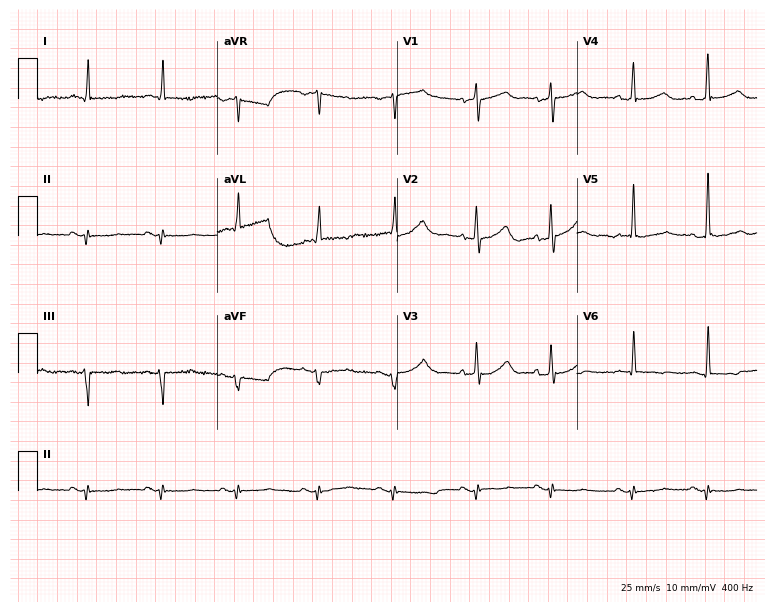
12-lead ECG from a male patient, 74 years old. Screened for six findings — first-degree AV block, right bundle branch block (RBBB), left bundle branch block (LBBB), sinus bradycardia, atrial fibrillation (AF), sinus tachycardia — none is recorded. Findings outside these six are not listed.